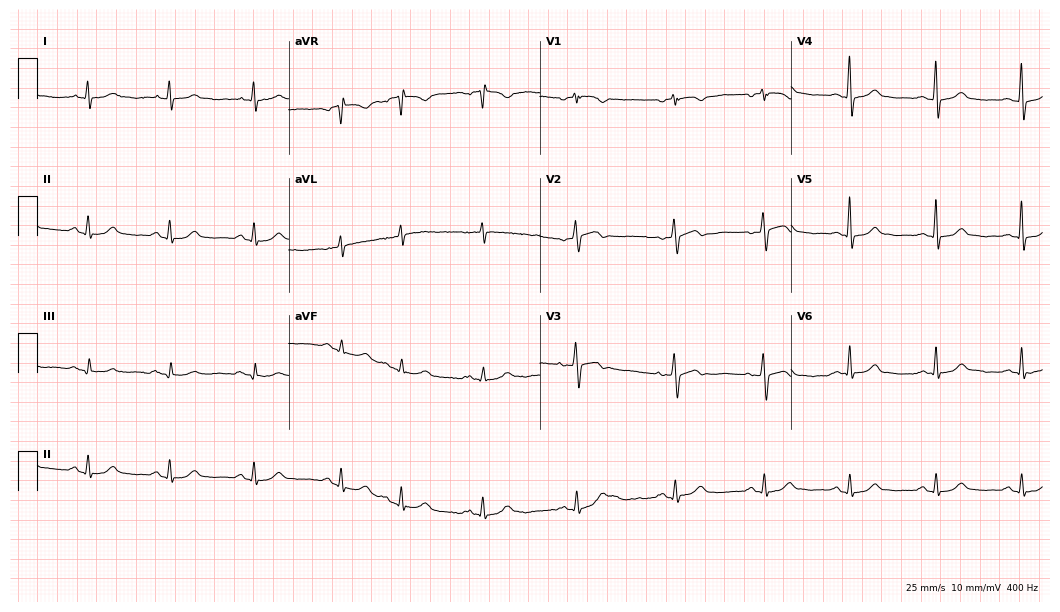
12-lead ECG (10.2-second recording at 400 Hz) from a female, 74 years old. Labelled as a normal ECG.